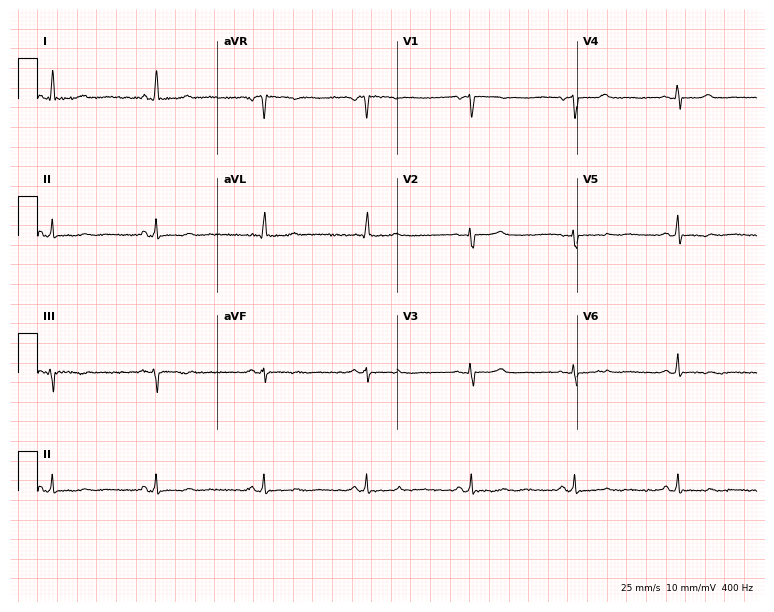
Resting 12-lead electrocardiogram (7.3-second recording at 400 Hz). Patient: a woman, 63 years old. None of these six findings is recorded: first-degree AV block, right bundle branch block (RBBB), left bundle branch block (LBBB), sinus bradycardia, atrial fibrillation (AF), sinus tachycardia.